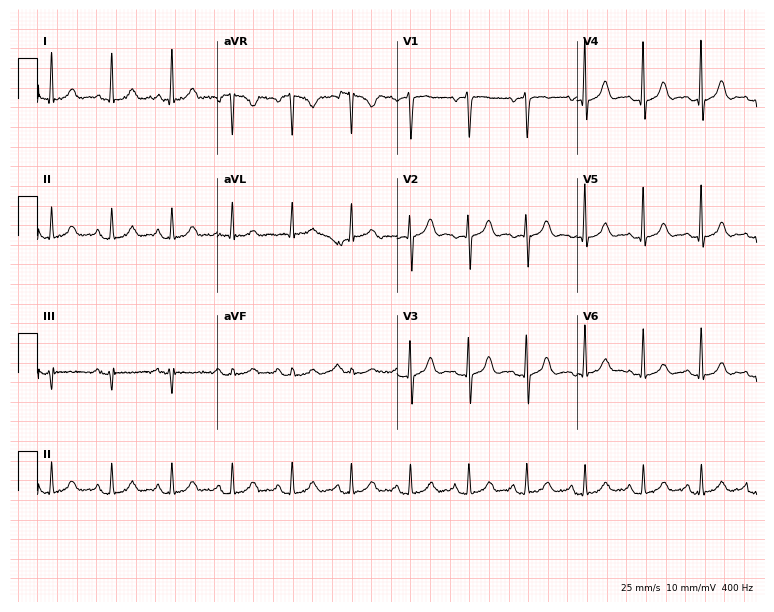
Electrocardiogram, a 79-year-old female. Of the six screened findings (first-degree AV block, right bundle branch block (RBBB), left bundle branch block (LBBB), sinus bradycardia, atrial fibrillation (AF), sinus tachycardia), none is recorded.